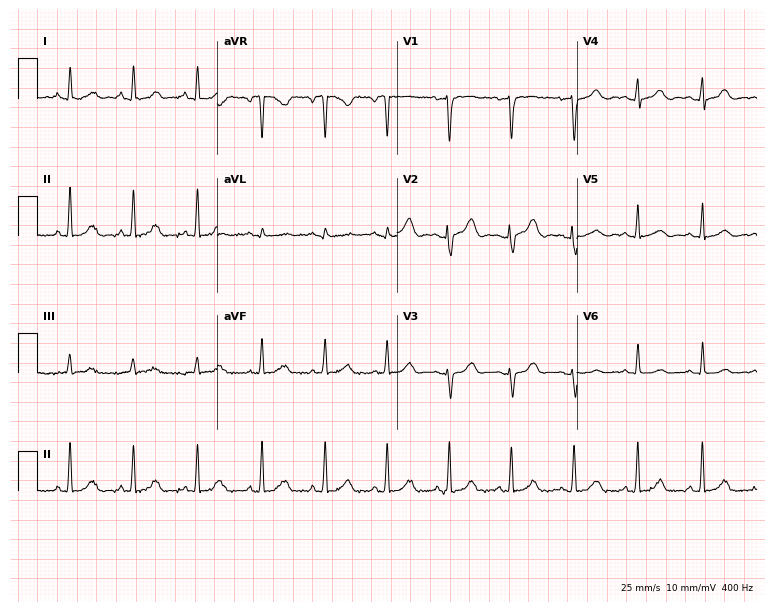
12-lead ECG from a 43-year-old female. Labelled as a normal ECG.